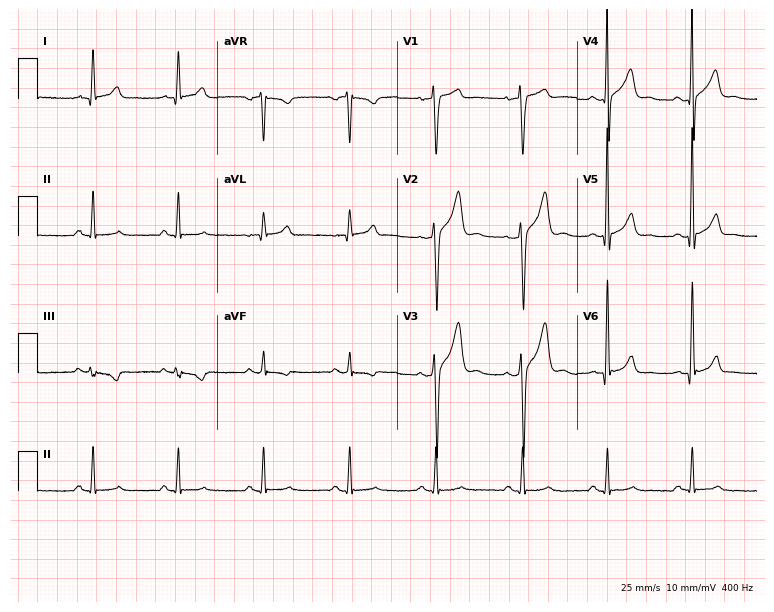
12-lead ECG from a male patient, 33 years old. Screened for six findings — first-degree AV block, right bundle branch block, left bundle branch block, sinus bradycardia, atrial fibrillation, sinus tachycardia — none is recorded.